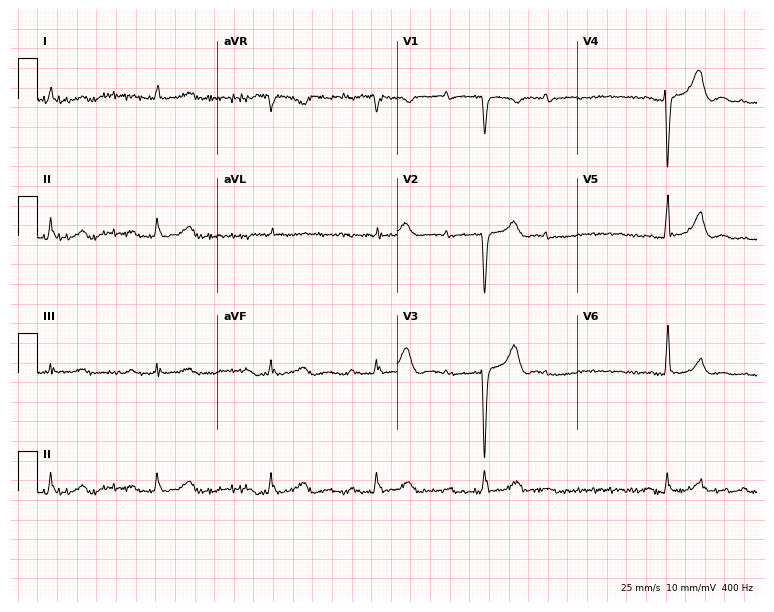
Standard 12-lead ECG recorded from a man, 71 years old (7.3-second recording at 400 Hz). None of these six findings is recorded: first-degree AV block, right bundle branch block (RBBB), left bundle branch block (LBBB), sinus bradycardia, atrial fibrillation (AF), sinus tachycardia. Only these six findings were labelled.